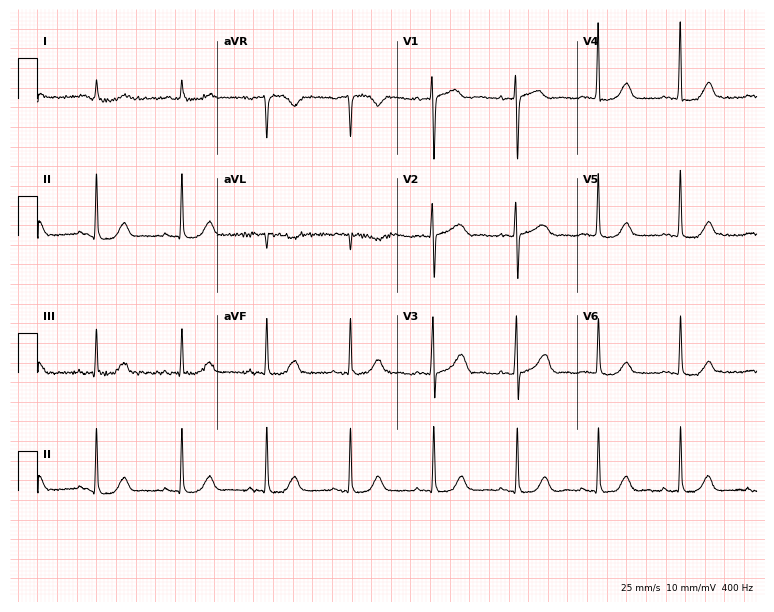
12-lead ECG (7.3-second recording at 400 Hz) from a woman, 82 years old. Screened for six findings — first-degree AV block, right bundle branch block, left bundle branch block, sinus bradycardia, atrial fibrillation, sinus tachycardia — none is recorded. Other findings, if any, are not listed.